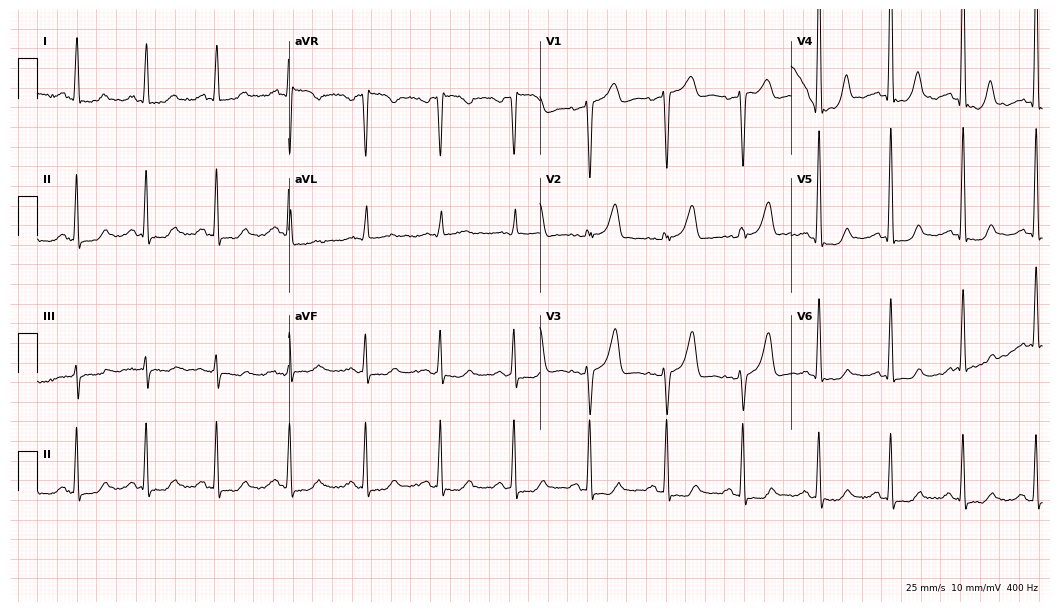
12-lead ECG from a male, 50 years old. Screened for six findings — first-degree AV block, right bundle branch block, left bundle branch block, sinus bradycardia, atrial fibrillation, sinus tachycardia — none is recorded.